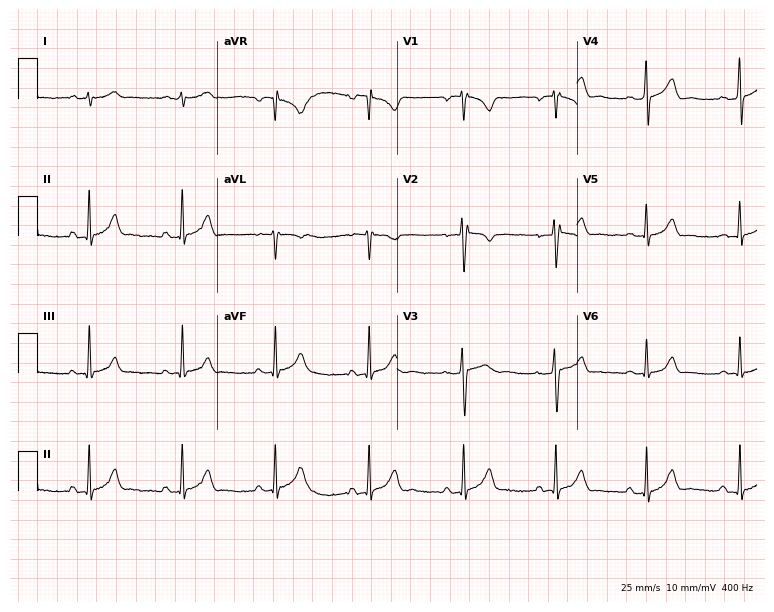
Electrocardiogram, a 31-year-old male patient. Of the six screened findings (first-degree AV block, right bundle branch block, left bundle branch block, sinus bradycardia, atrial fibrillation, sinus tachycardia), none is recorded. Other findings, if any, are not listed.